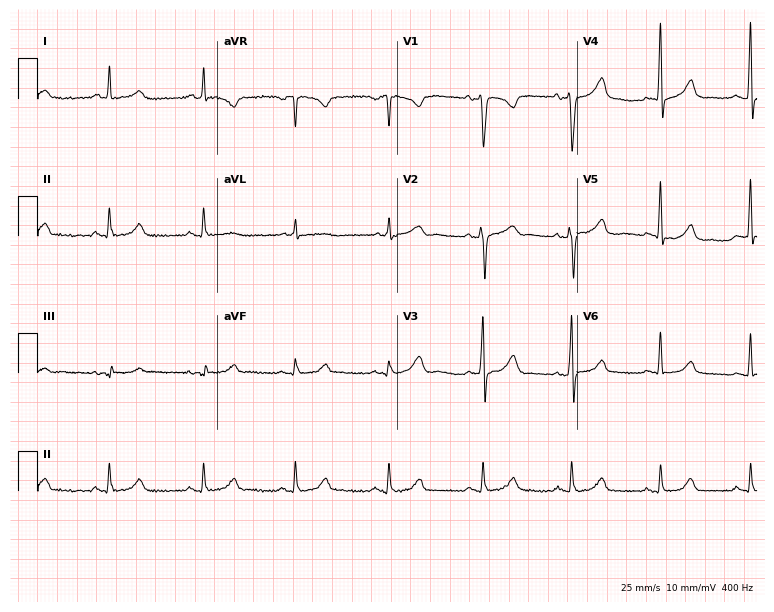
12-lead ECG from a female patient, 41 years old. Screened for six findings — first-degree AV block, right bundle branch block (RBBB), left bundle branch block (LBBB), sinus bradycardia, atrial fibrillation (AF), sinus tachycardia — none is recorded.